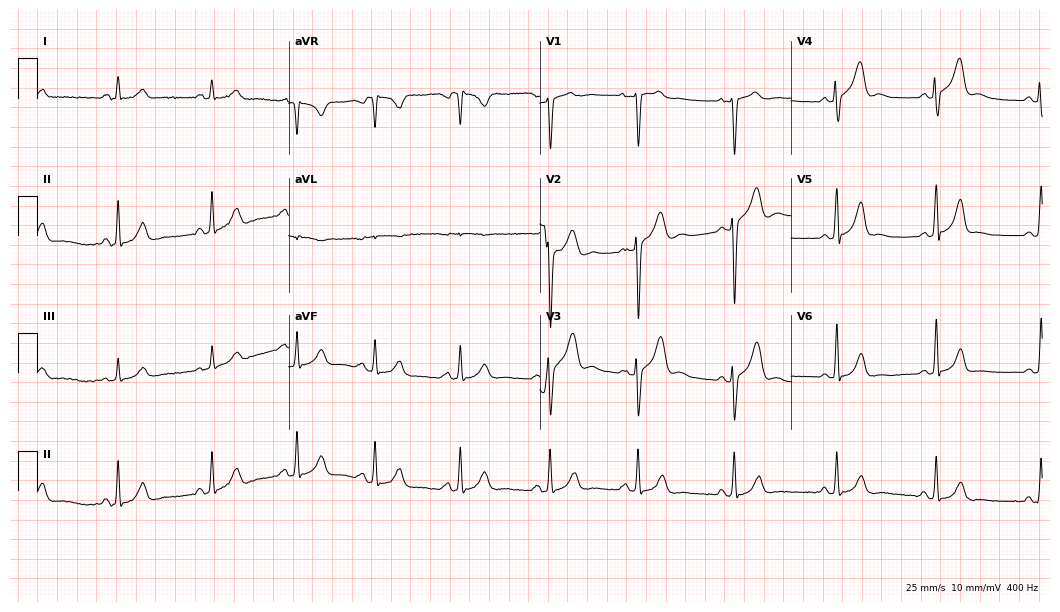
Electrocardiogram (10.2-second recording at 400 Hz), a 30-year-old male. Overall reading on record: normal ECG.